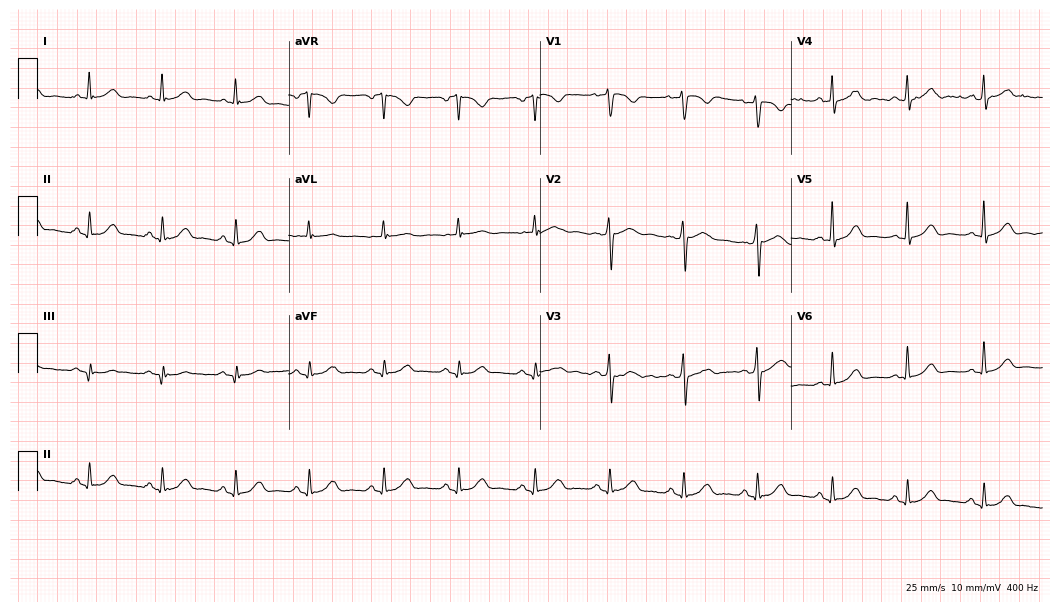
ECG (10.2-second recording at 400 Hz) — a 63-year-old female. Labelled as a normal ECG.